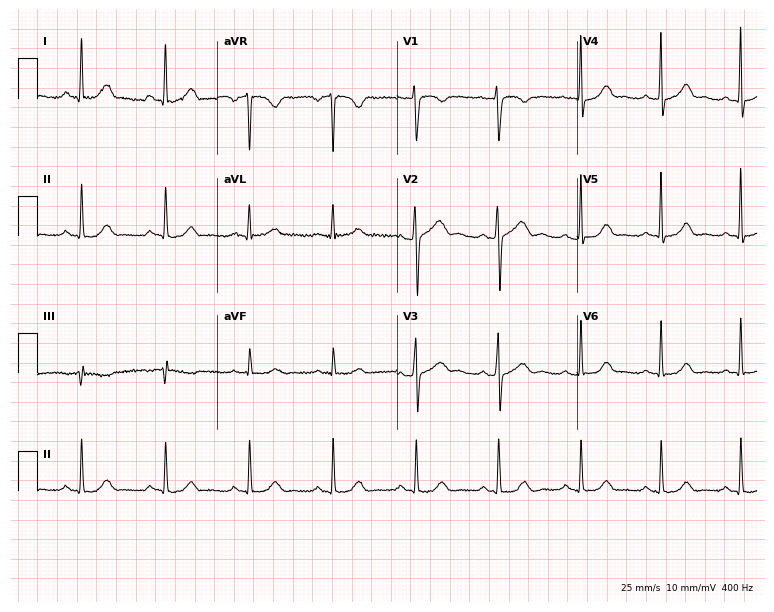
ECG (7.3-second recording at 400 Hz) — a woman, 29 years old. Screened for six findings — first-degree AV block, right bundle branch block, left bundle branch block, sinus bradycardia, atrial fibrillation, sinus tachycardia — none is recorded.